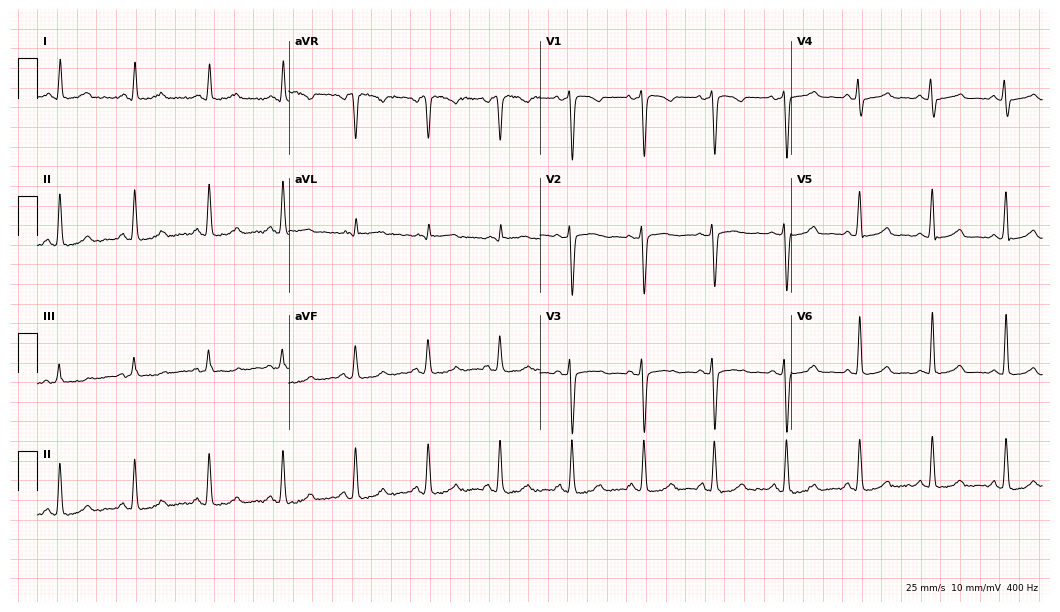
ECG — a 45-year-old woman. Screened for six findings — first-degree AV block, right bundle branch block (RBBB), left bundle branch block (LBBB), sinus bradycardia, atrial fibrillation (AF), sinus tachycardia — none is recorded.